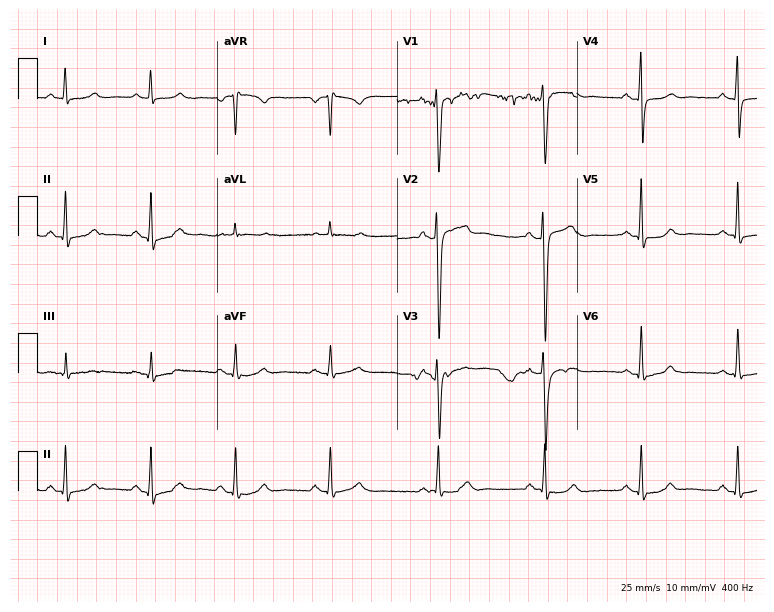
ECG — a 63-year-old man. Screened for six findings — first-degree AV block, right bundle branch block, left bundle branch block, sinus bradycardia, atrial fibrillation, sinus tachycardia — none is recorded.